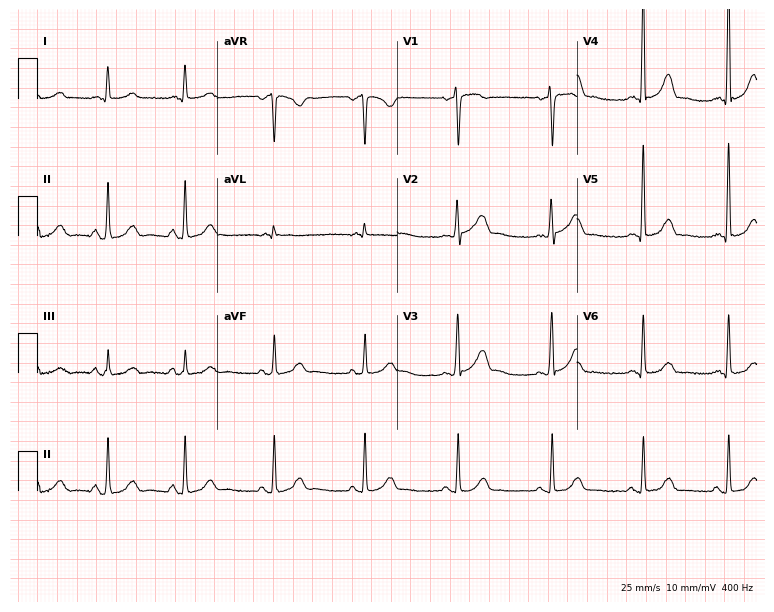
ECG (7.3-second recording at 400 Hz) — a female, 63 years old. Labelled as a normal ECG.